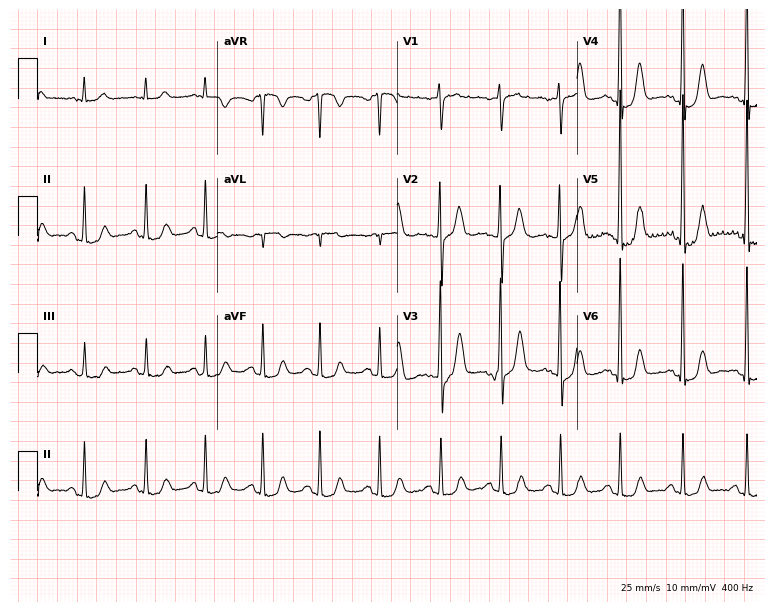
Electrocardiogram (7.3-second recording at 400 Hz), a woman, 52 years old. Of the six screened findings (first-degree AV block, right bundle branch block, left bundle branch block, sinus bradycardia, atrial fibrillation, sinus tachycardia), none is recorded. Other findings, if any, are not listed.